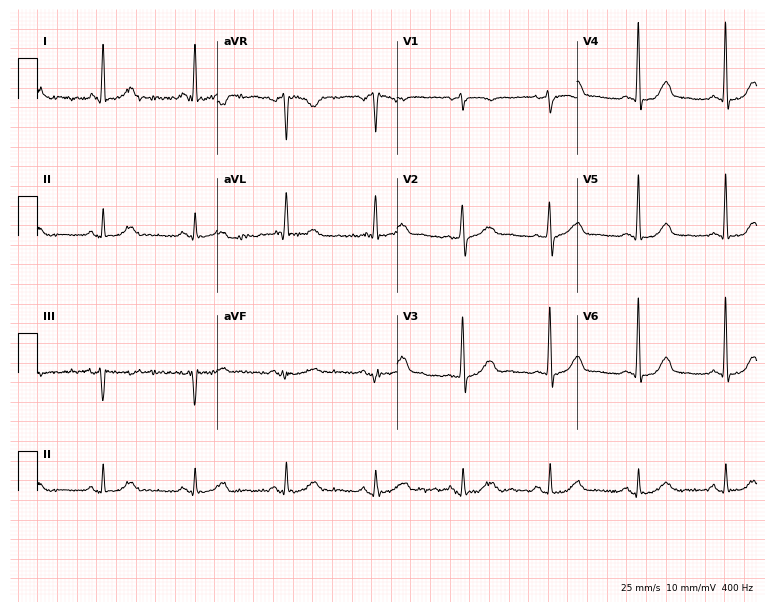
Resting 12-lead electrocardiogram. Patient: a 70-year-old female. Read as a normal ECG.